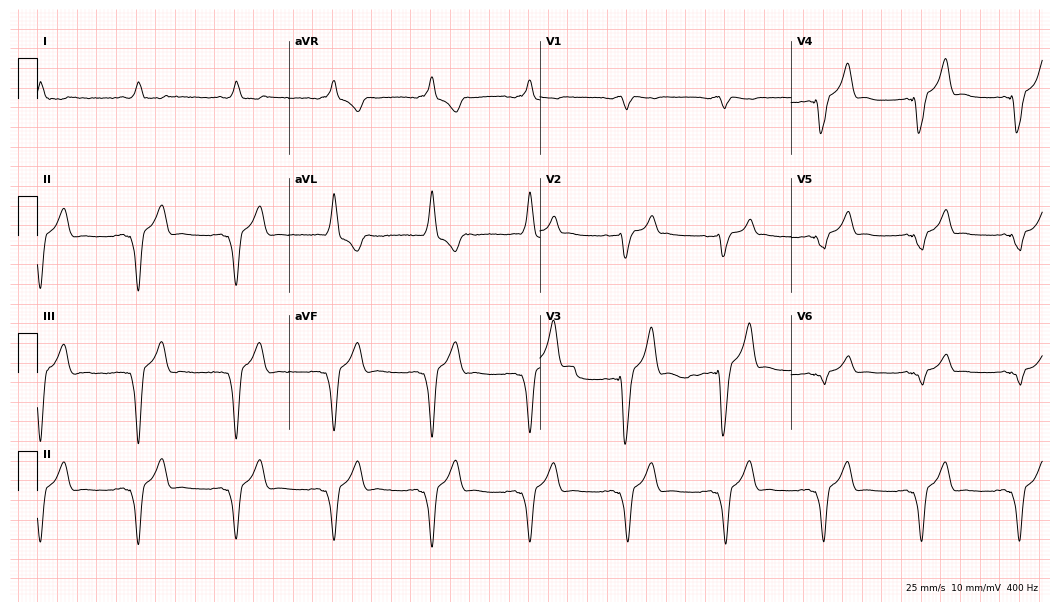
ECG (10.2-second recording at 400 Hz) — a 58-year-old male patient. Screened for six findings — first-degree AV block, right bundle branch block (RBBB), left bundle branch block (LBBB), sinus bradycardia, atrial fibrillation (AF), sinus tachycardia — none is recorded. Other findings, if any, are not listed.